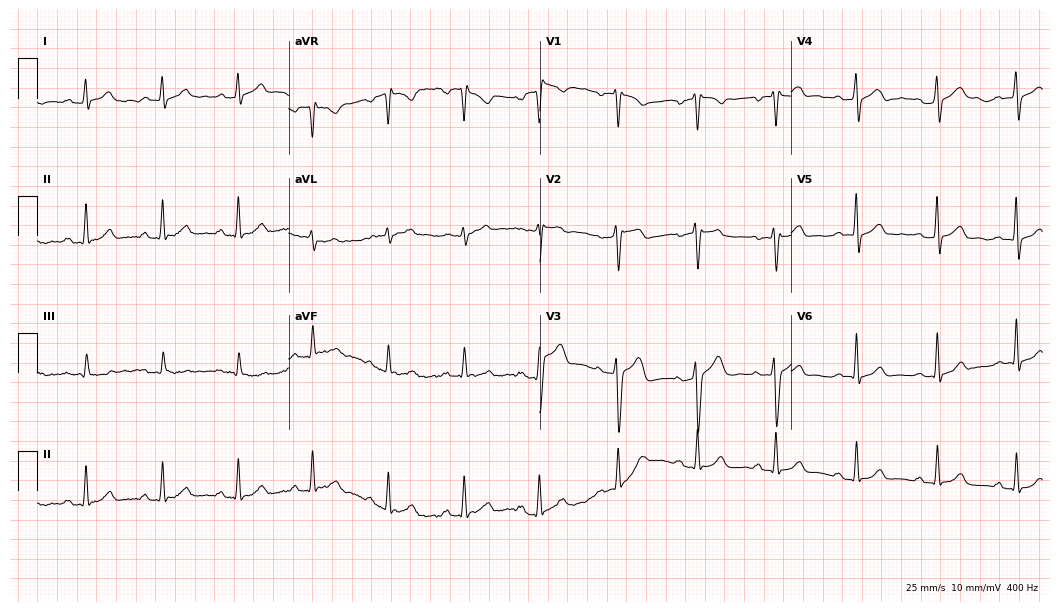
Resting 12-lead electrocardiogram. Patient: a 34-year-old man. Read as a normal ECG.